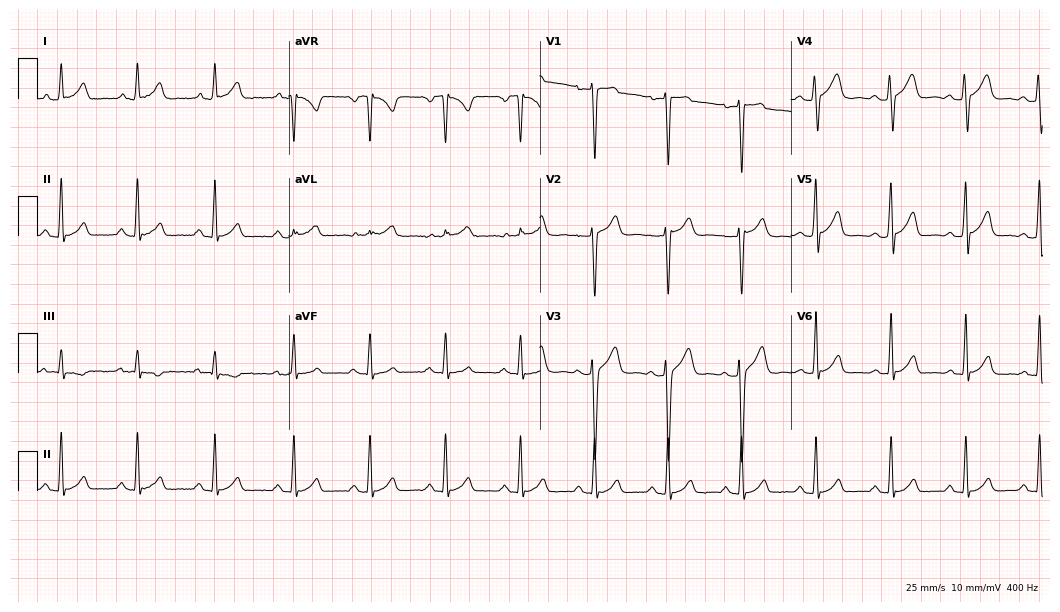
ECG (10.2-second recording at 400 Hz) — a 23-year-old man. Screened for six findings — first-degree AV block, right bundle branch block, left bundle branch block, sinus bradycardia, atrial fibrillation, sinus tachycardia — none is recorded. Other findings, if any, are not listed.